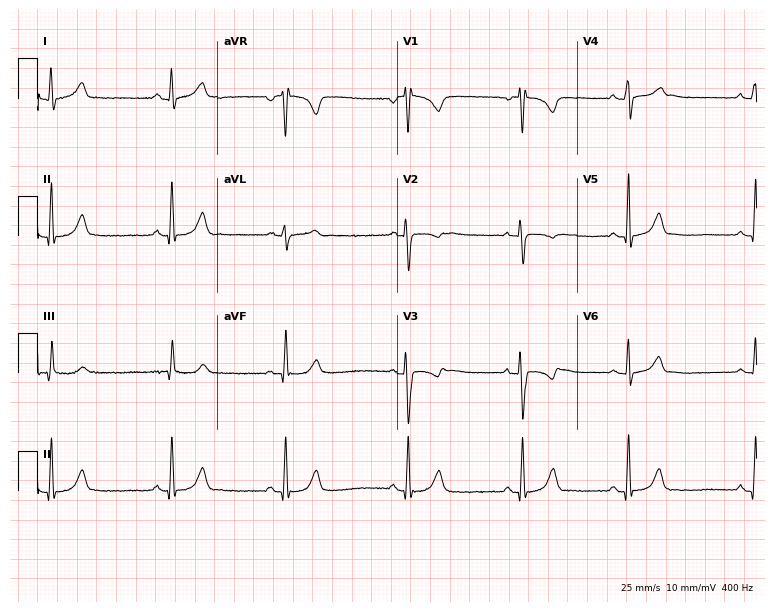
ECG (7.3-second recording at 400 Hz) — a 21-year-old female. Screened for six findings — first-degree AV block, right bundle branch block, left bundle branch block, sinus bradycardia, atrial fibrillation, sinus tachycardia — none is recorded.